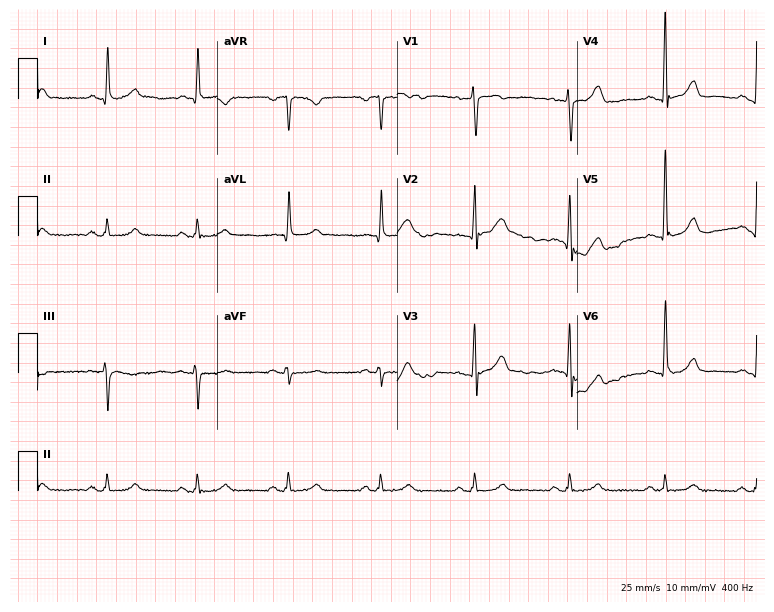
12-lead ECG from a man, 74 years old. Recorded interpretation: within normal limits.